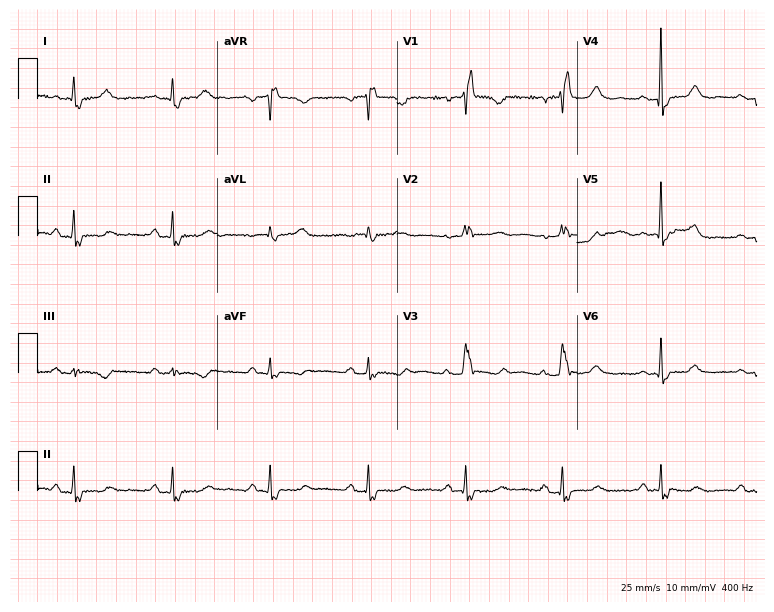
12-lead ECG from a 77-year-old female patient. Findings include right bundle branch block (RBBB).